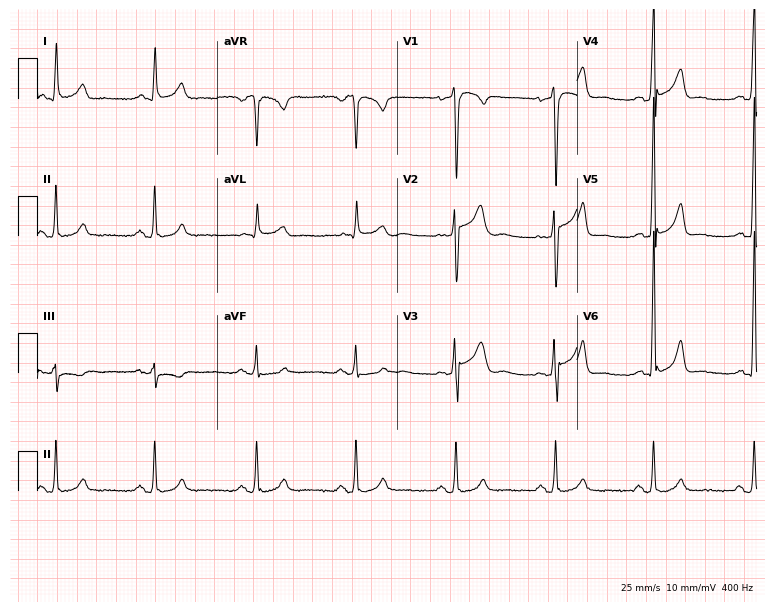
12-lead ECG from a 46-year-old man. Screened for six findings — first-degree AV block, right bundle branch block, left bundle branch block, sinus bradycardia, atrial fibrillation, sinus tachycardia — none is recorded. Only these six findings were labelled.